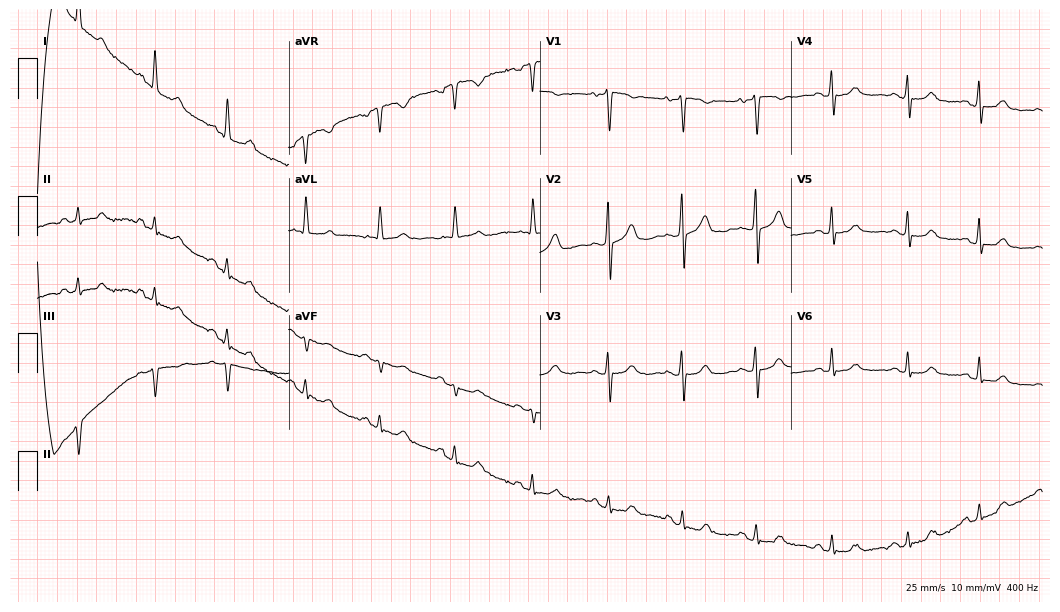
Electrocardiogram, an 82-year-old woman. Of the six screened findings (first-degree AV block, right bundle branch block (RBBB), left bundle branch block (LBBB), sinus bradycardia, atrial fibrillation (AF), sinus tachycardia), none is recorded. Findings outside these six are not listed.